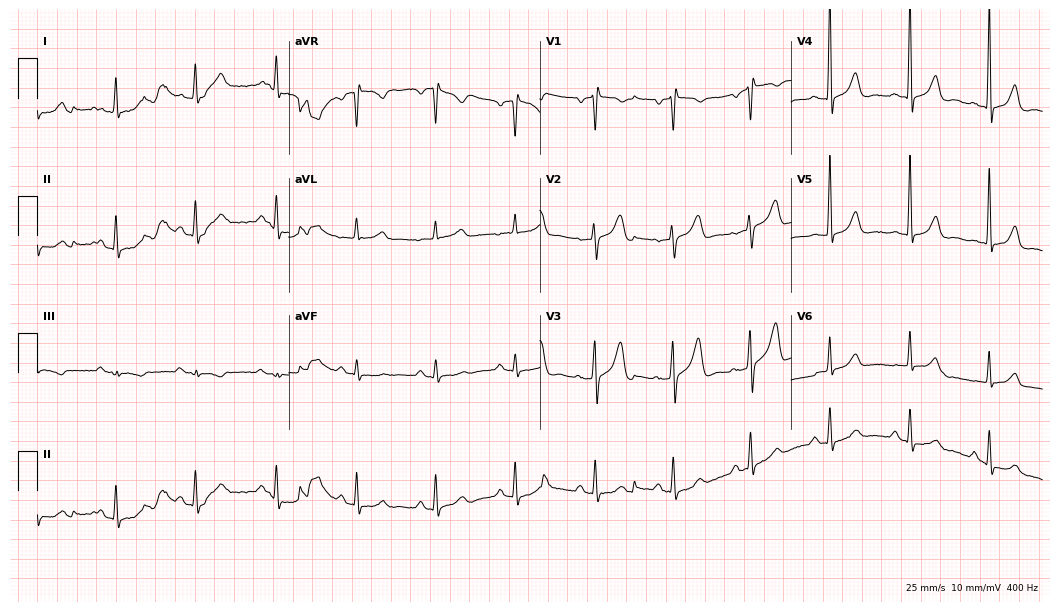
ECG — a 75-year-old man. Screened for six findings — first-degree AV block, right bundle branch block, left bundle branch block, sinus bradycardia, atrial fibrillation, sinus tachycardia — none is recorded.